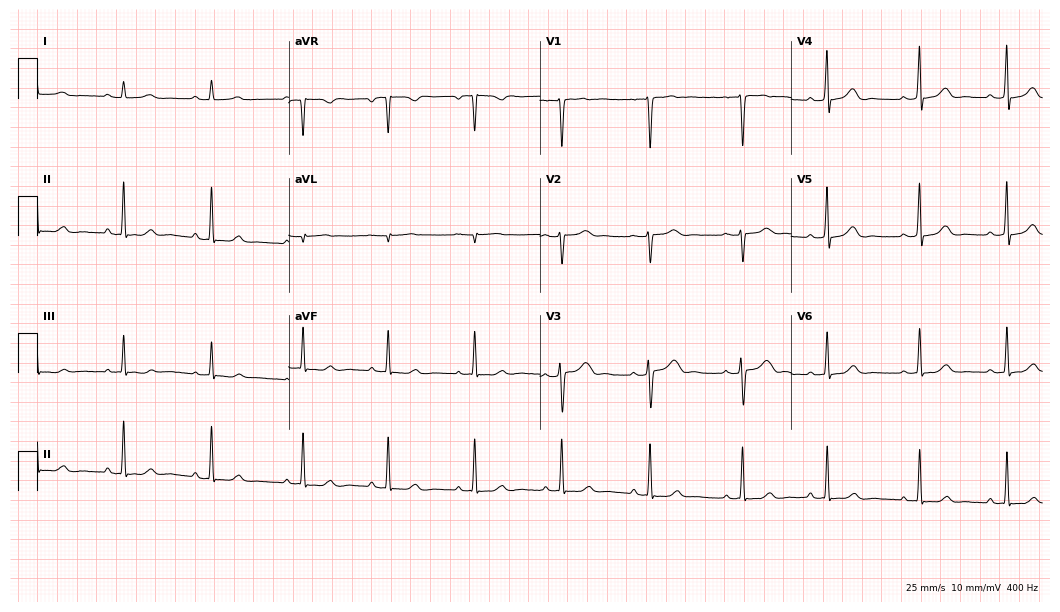
12-lead ECG from a female, 35 years old. Screened for six findings — first-degree AV block, right bundle branch block (RBBB), left bundle branch block (LBBB), sinus bradycardia, atrial fibrillation (AF), sinus tachycardia — none is recorded. Findings outside these six are not listed.